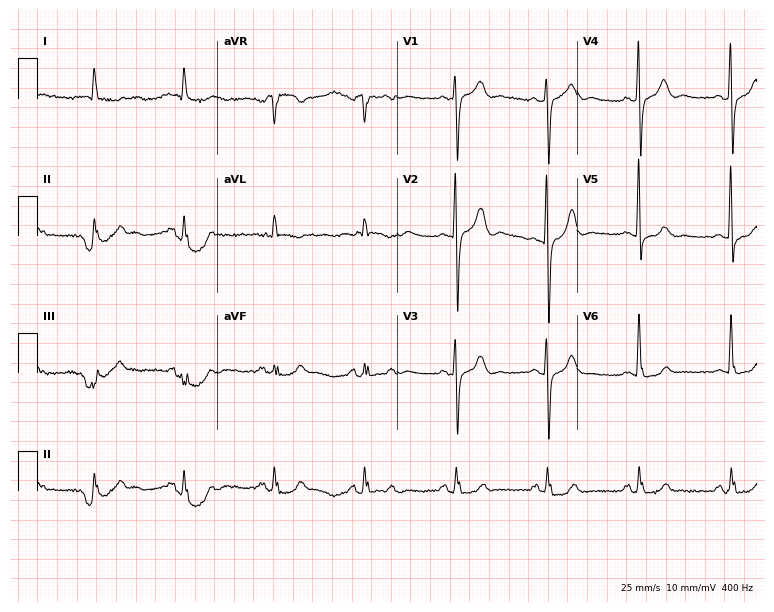
Resting 12-lead electrocardiogram. Patient: a woman, 81 years old. Read as a normal ECG.